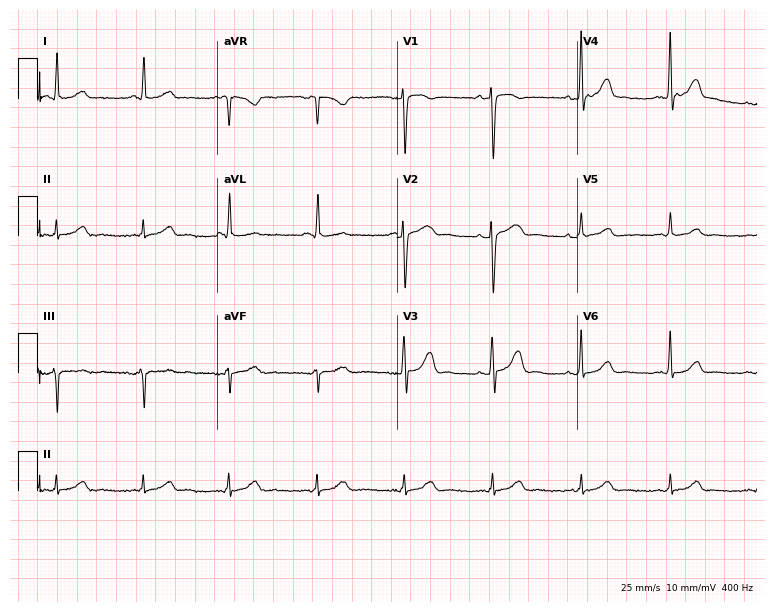
12-lead ECG (7.3-second recording at 400 Hz) from a 53-year-old female patient. Labelled as a normal ECG.